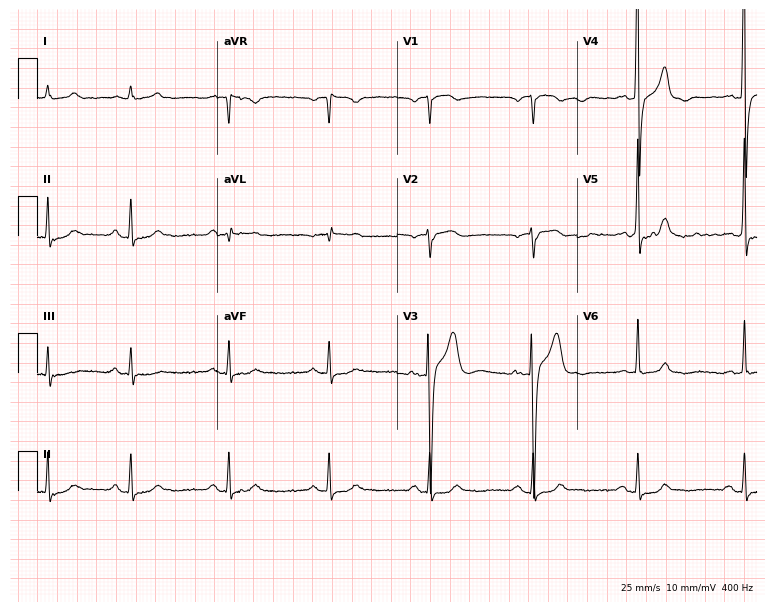
Resting 12-lead electrocardiogram (7.3-second recording at 400 Hz). Patient: a male, 76 years old. None of these six findings is recorded: first-degree AV block, right bundle branch block, left bundle branch block, sinus bradycardia, atrial fibrillation, sinus tachycardia.